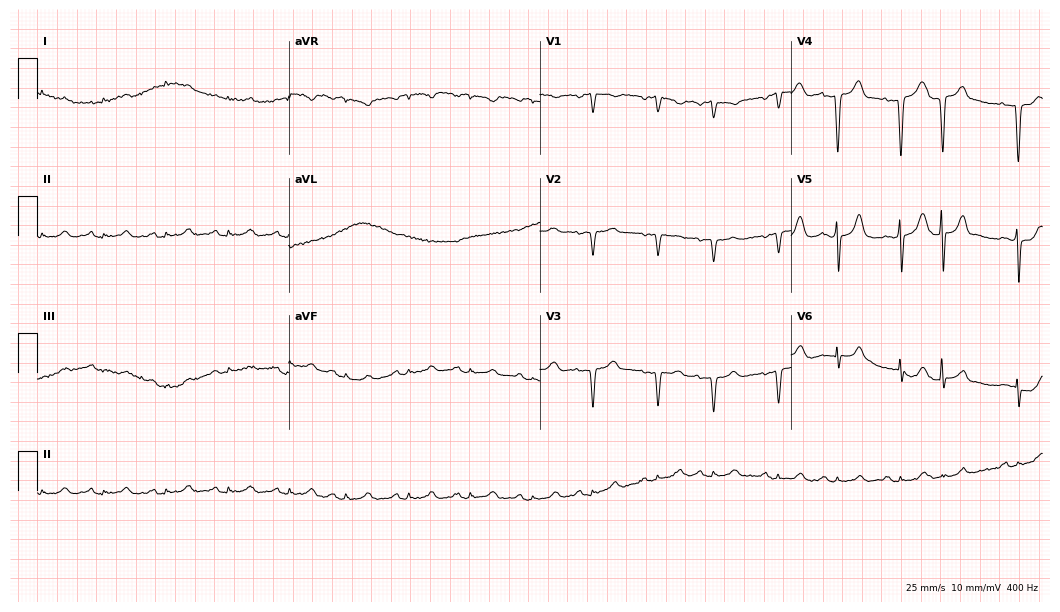
12-lead ECG (10.2-second recording at 400 Hz) from a male patient, 80 years old. Screened for six findings — first-degree AV block, right bundle branch block, left bundle branch block, sinus bradycardia, atrial fibrillation, sinus tachycardia — none is recorded. Other findings, if any, are not listed.